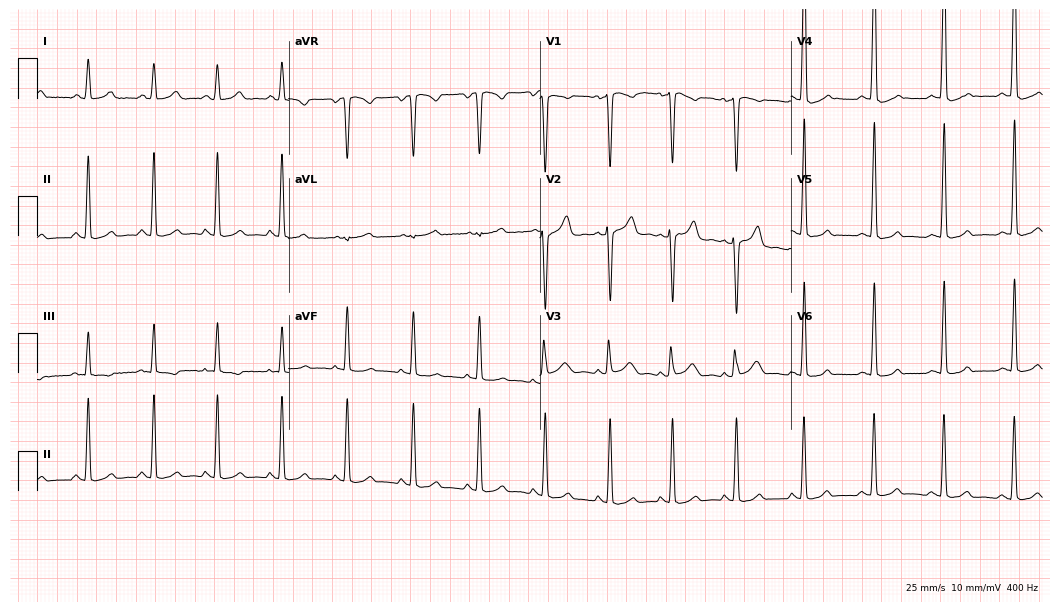
Resting 12-lead electrocardiogram (10.2-second recording at 400 Hz). Patient: a female, 32 years old. None of these six findings is recorded: first-degree AV block, right bundle branch block, left bundle branch block, sinus bradycardia, atrial fibrillation, sinus tachycardia.